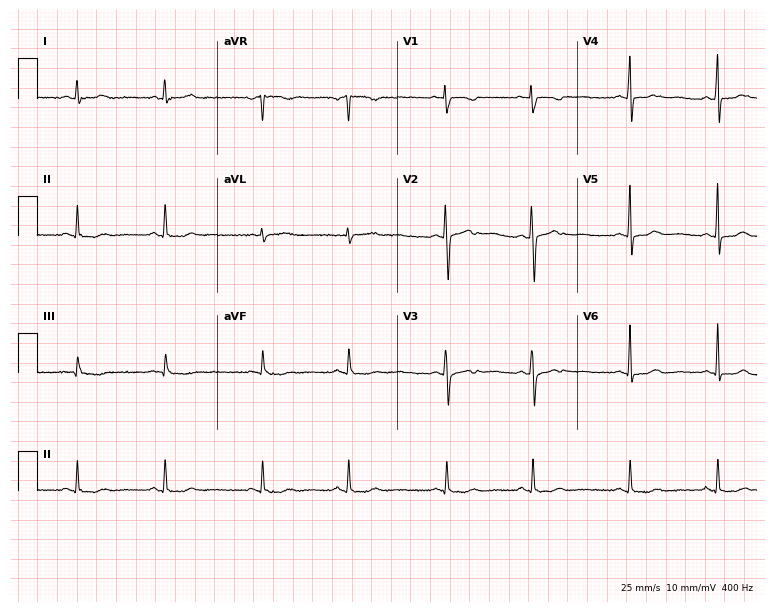
ECG (7.3-second recording at 400 Hz) — a 22-year-old woman. Screened for six findings — first-degree AV block, right bundle branch block, left bundle branch block, sinus bradycardia, atrial fibrillation, sinus tachycardia — none is recorded. Only these six findings were labelled.